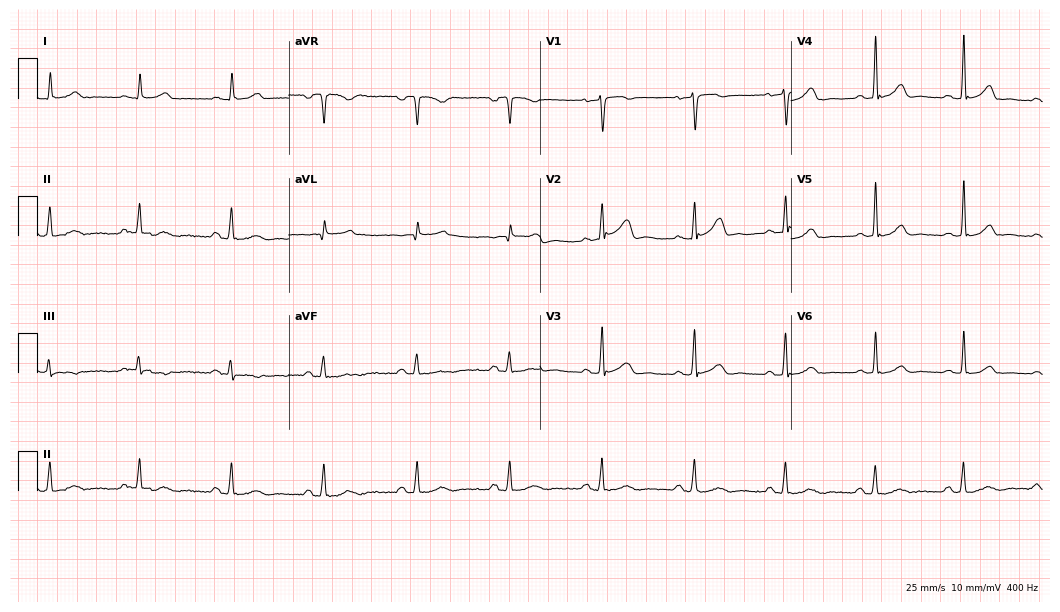
Standard 12-lead ECG recorded from a male, 65 years old (10.2-second recording at 400 Hz). Read as a normal ECG.